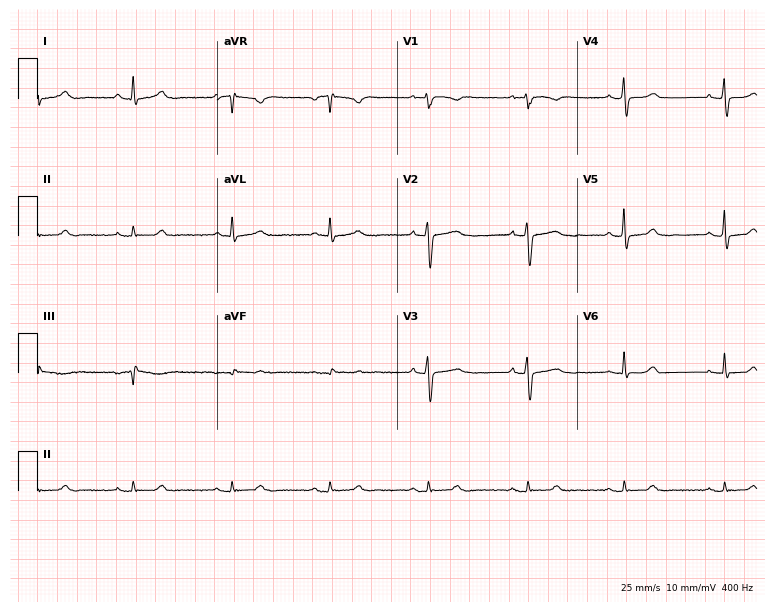
ECG — a 54-year-old female. Labelled as a normal ECG.